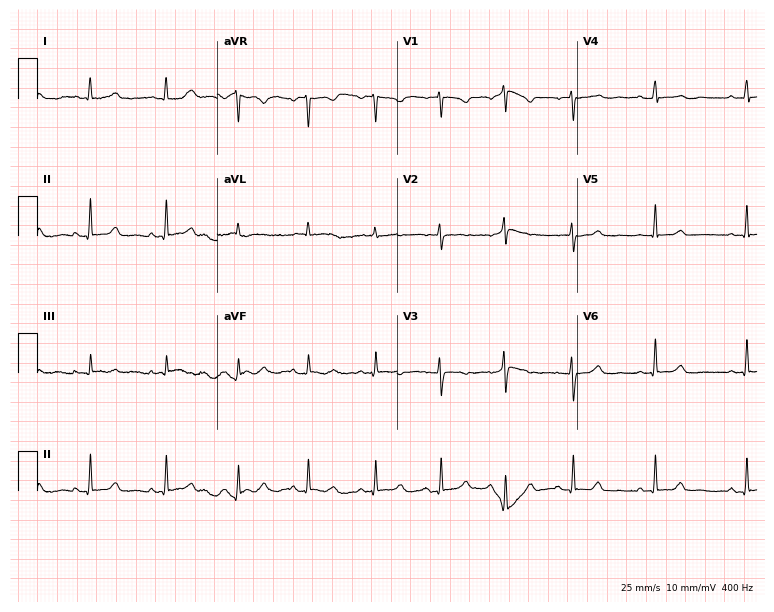
ECG — a 53-year-old woman. Labelled as a normal ECG.